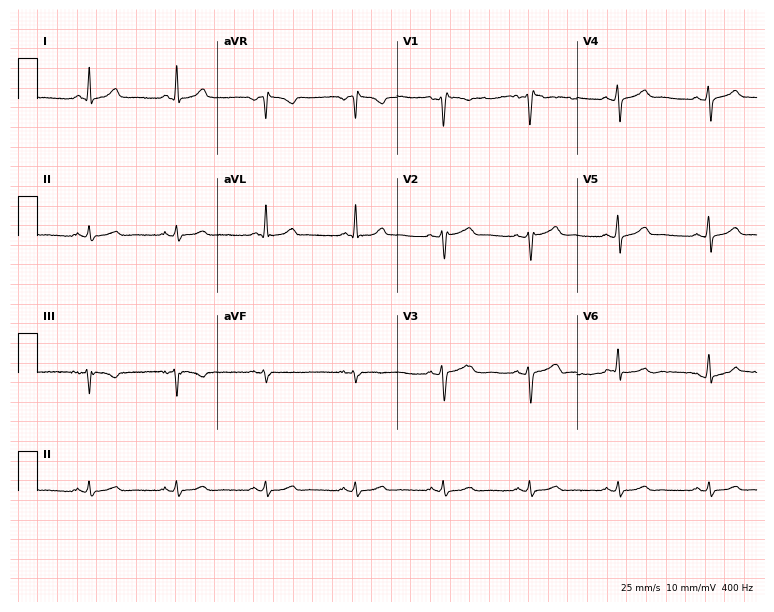
12-lead ECG from a 53-year-old male patient. No first-degree AV block, right bundle branch block, left bundle branch block, sinus bradycardia, atrial fibrillation or sinus tachycardia recorded for this tracing. Findings outside these six are not listed.